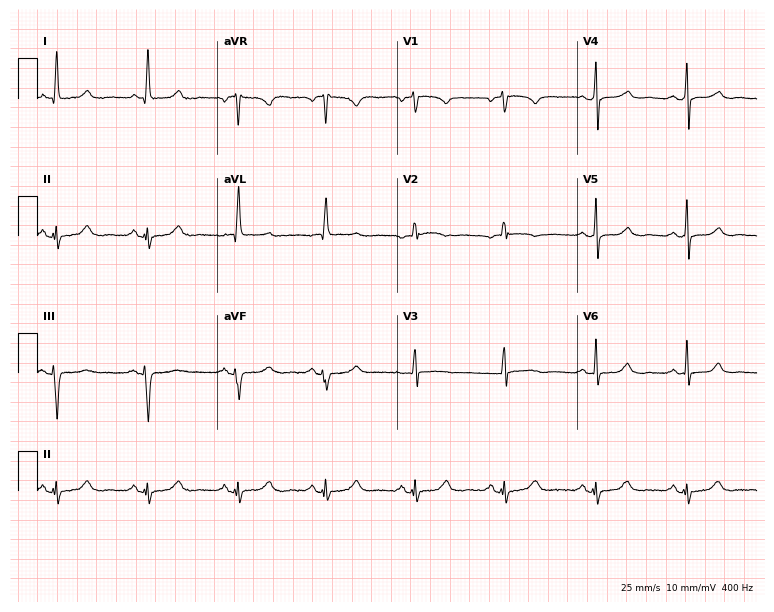
12-lead ECG from a 68-year-old woman. Screened for six findings — first-degree AV block, right bundle branch block, left bundle branch block, sinus bradycardia, atrial fibrillation, sinus tachycardia — none is recorded. Only these six findings were labelled.